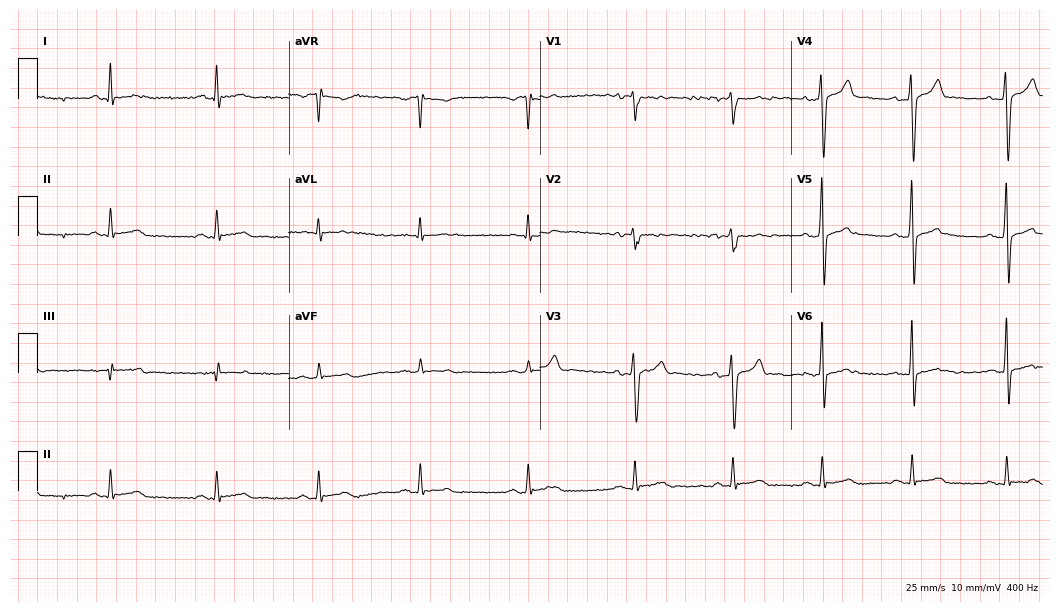
Electrocardiogram, a 33-year-old man. Of the six screened findings (first-degree AV block, right bundle branch block, left bundle branch block, sinus bradycardia, atrial fibrillation, sinus tachycardia), none is recorded. Findings outside these six are not listed.